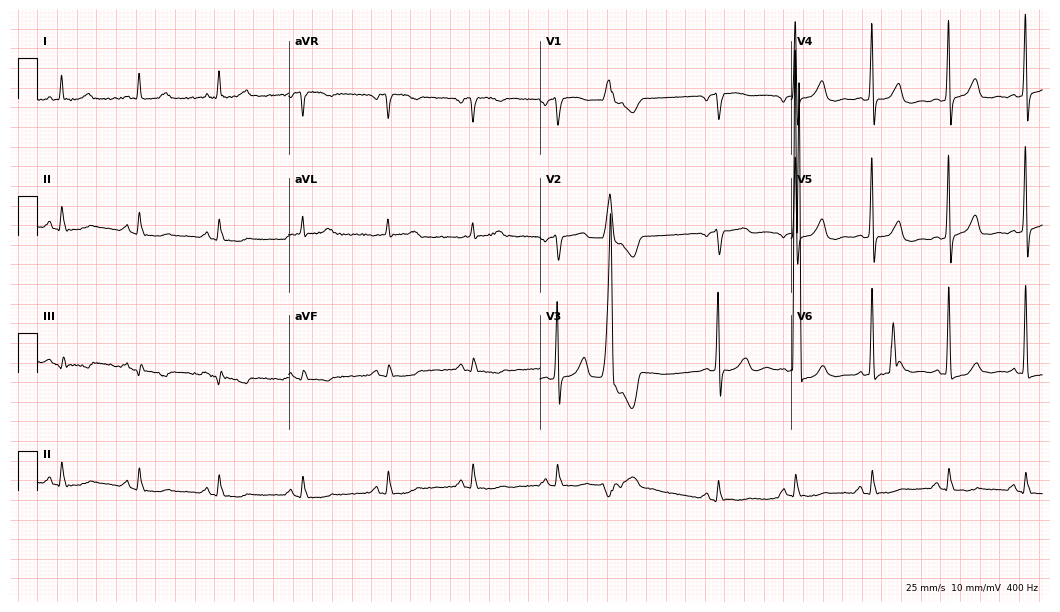
12-lead ECG from a 76-year-old male (10.2-second recording at 400 Hz). No first-degree AV block, right bundle branch block, left bundle branch block, sinus bradycardia, atrial fibrillation or sinus tachycardia recorded for this tracing. Only these six findings were labelled.